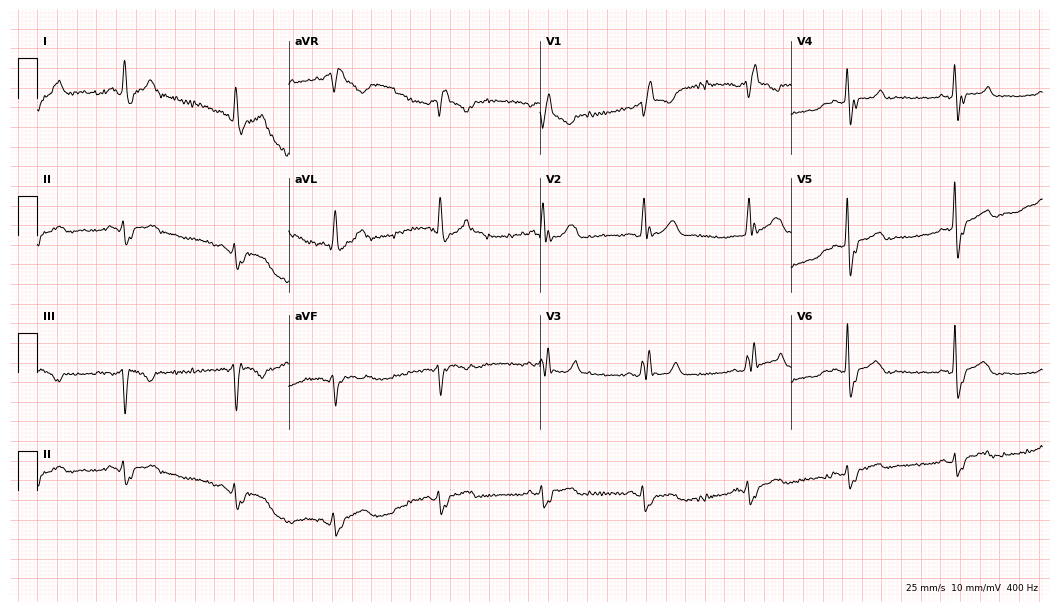
Resting 12-lead electrocardiogram. Patient: a man, 78 years old. The tracing shows right bundle branch block.